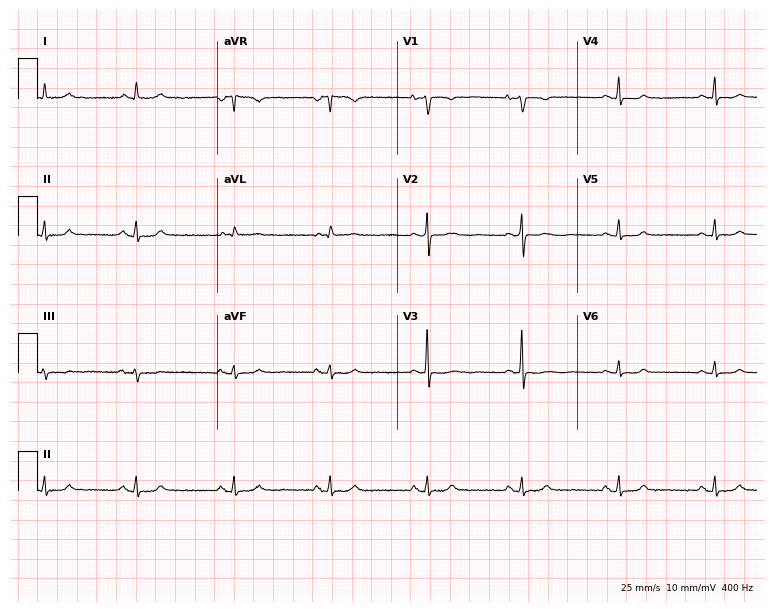
ECG (7.3-second recording at 400 Hz) — a female, 40 years old. Screened for six findings — first-degree AV block, right bundle branch block, left bundle branch block, sinus bradycardia, atrial fibrillation, sinus tachycardia — none is recorded.